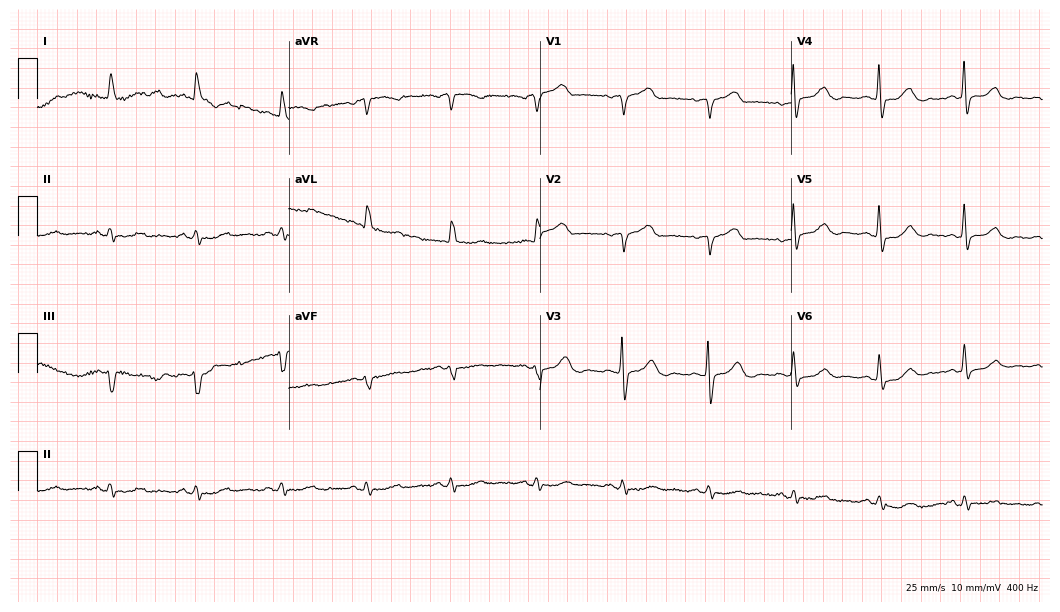
12-lead ECG (10.2-second recording at 400 Hz) from an 84-year-old woman. Screened for six findings — first-degree AV block, right bundle branch block, left bundle branch block, sinus bradycardia, atrial fibrillation, sinus tachycardia — none is recorded.